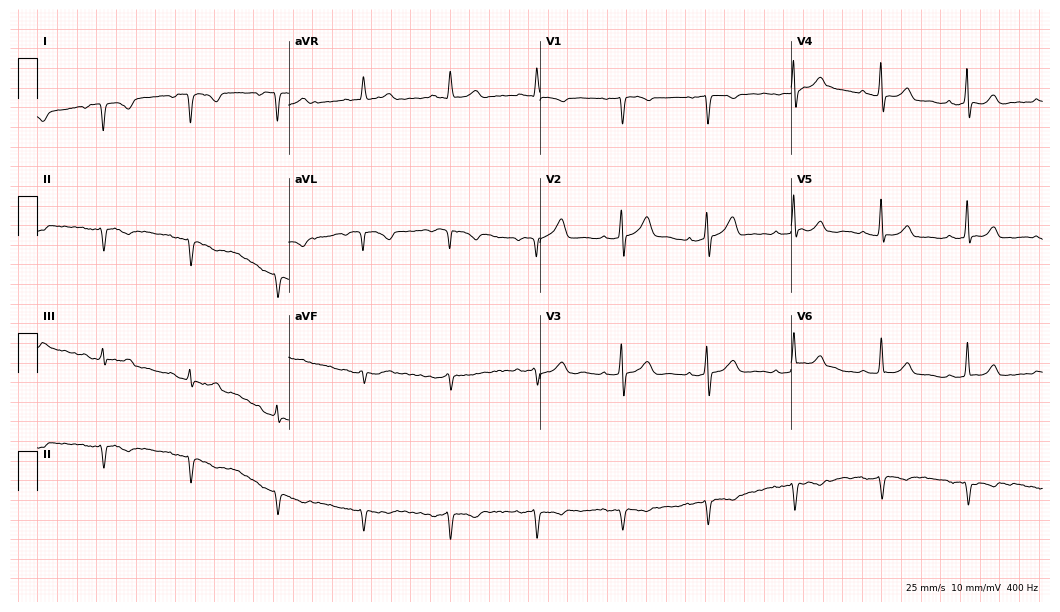
Standard 12-lead ECG recorded from a female patient, 70 years old. None of these six findings is recorded: first-degree AV block, right bundle branch block, left bundle branch block, sinus bradycardia, atrial fibrillation, sinus tachycardia. Only these six findings were labelled.